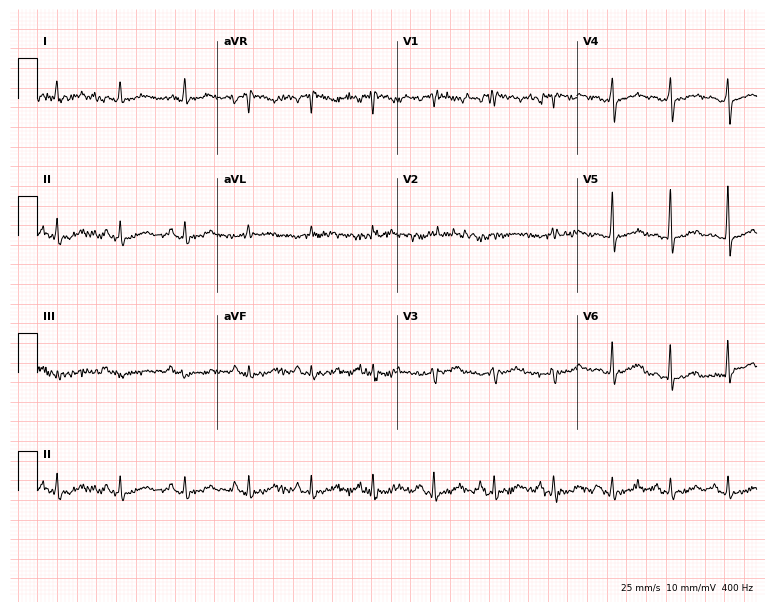
12-lead ECG (7.3-second recording at 400 Hz) from a male patient, 59 years old. Screened for six findings — first-degree AV block, right bundle branch block, left bundle branch block, sinus bradycardia, atrial fibrillation, sinus tachycardia — none is recorded.